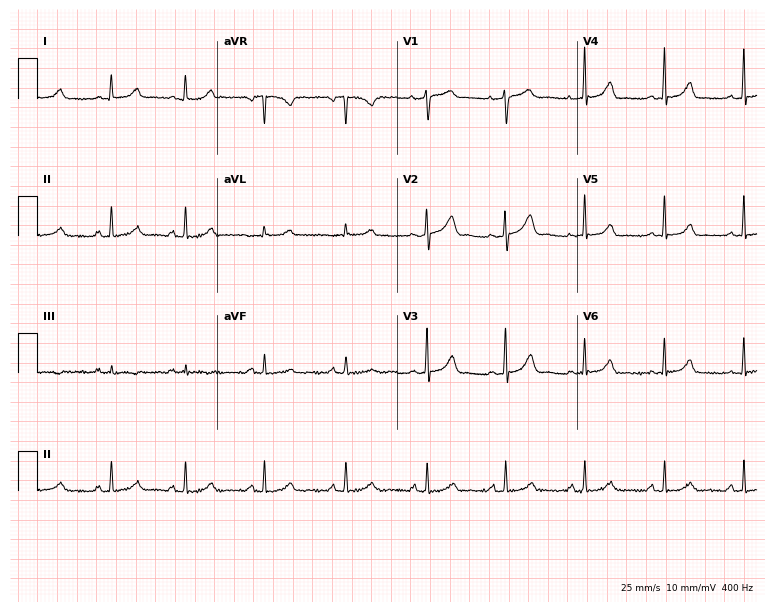
ECG (7.3-second recording at 400 Hz) — a 41-year-old female. Screened for six findings — first-degree AV block, right bundle branch block (RBBB), left bundle branch block (LBBB), sinus bradycardia, atrial fibrillation (AF), sinus tachycardia — none is recorded.